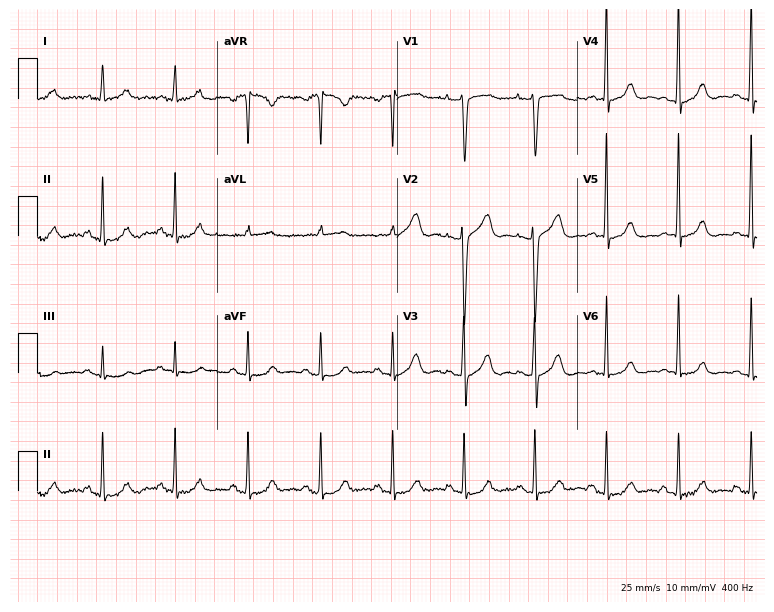
Electrocardiogram (7.3-second recording at 400 Hz), a female, 67 years old. Overall reading on record: normal ECG.